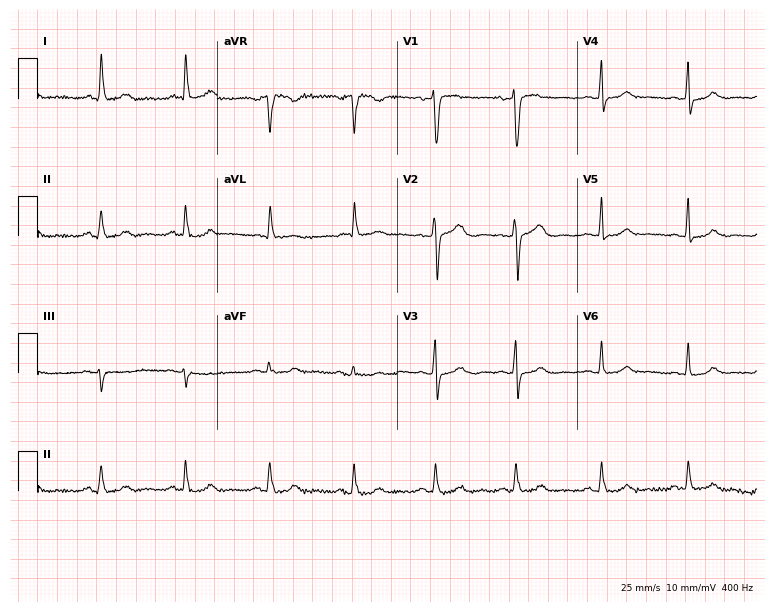
Electrocardiogram, a female patient, 55 years old. Overall reading on record: normal ECG.